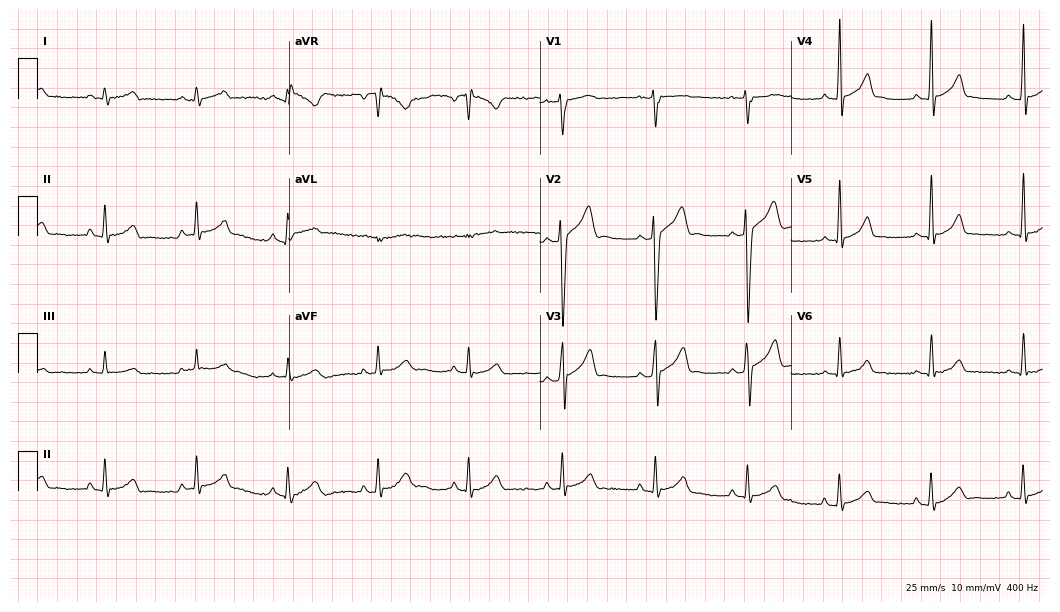
Resting 12-lead electrocardiogram. Patient: a 17-year-old male. Read as a normal ECG.